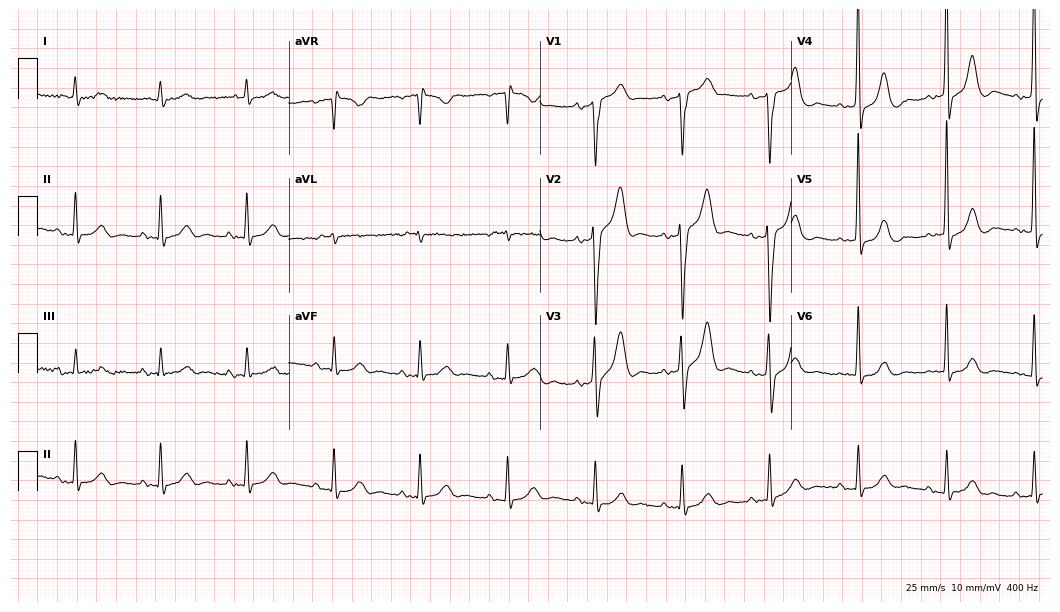
Electrocardiogram (10.2-second recording at 400 Hz), an 81-year-old man. Overall reading on record: normal ECG.